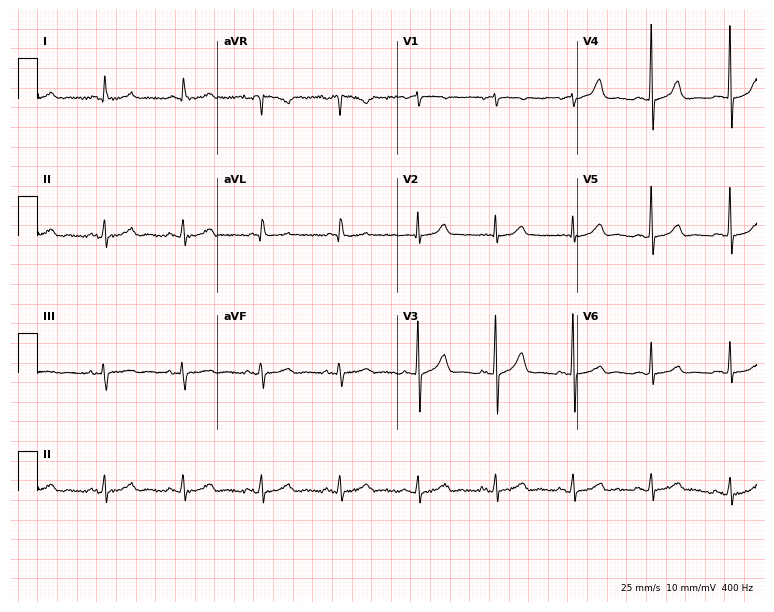
ECG (7.3-second recording at 400 Hz) — a 68-year-old female patient. Labelled as a normal ECG.